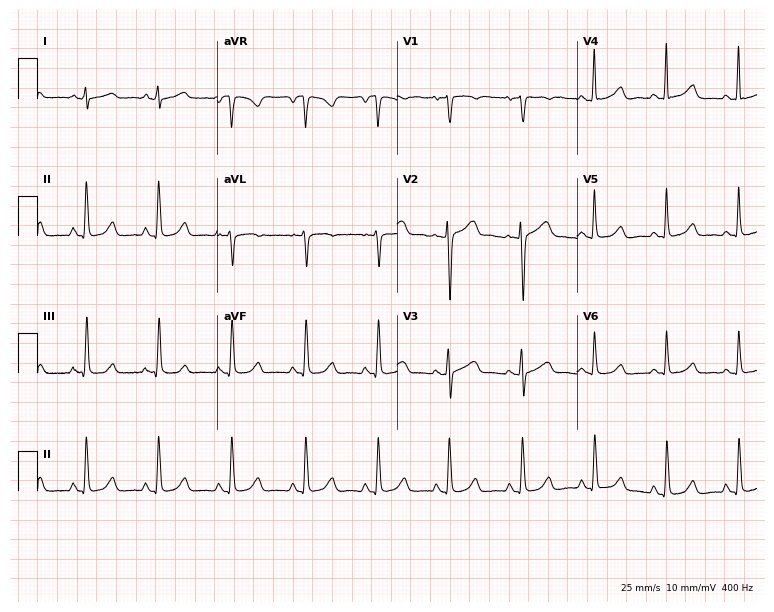
ECG — a woman, 44 years old. Labelled as a normal ECG.